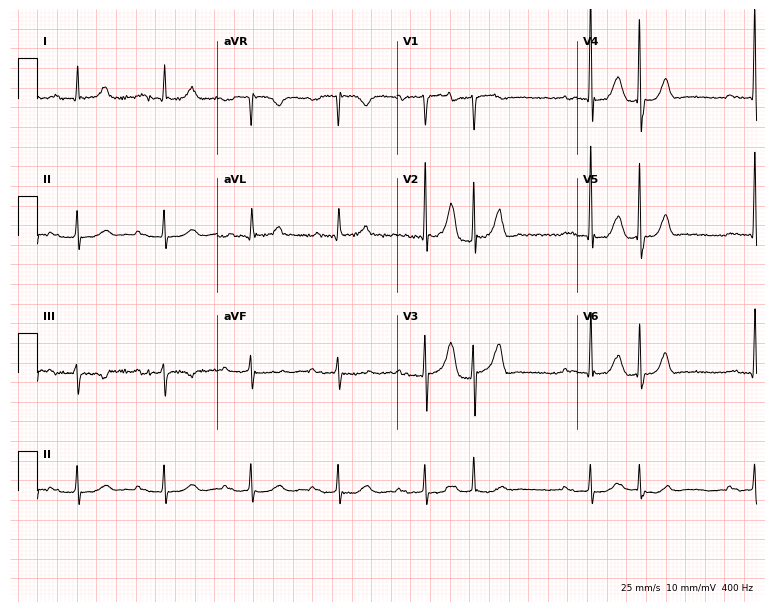
12-lead ECG (7.3-second recording at 400 Hz) from an 84-year-old man. Findings include first-degree AV block.